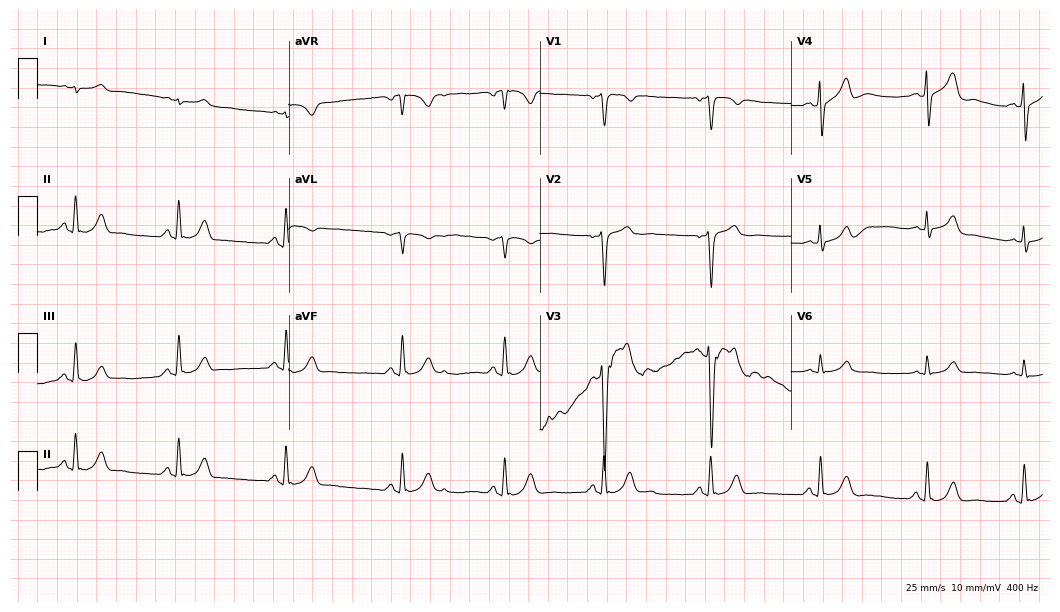
Standard 12-lead ECG recorded from a male, 40 years old. Read as a normal ECG.